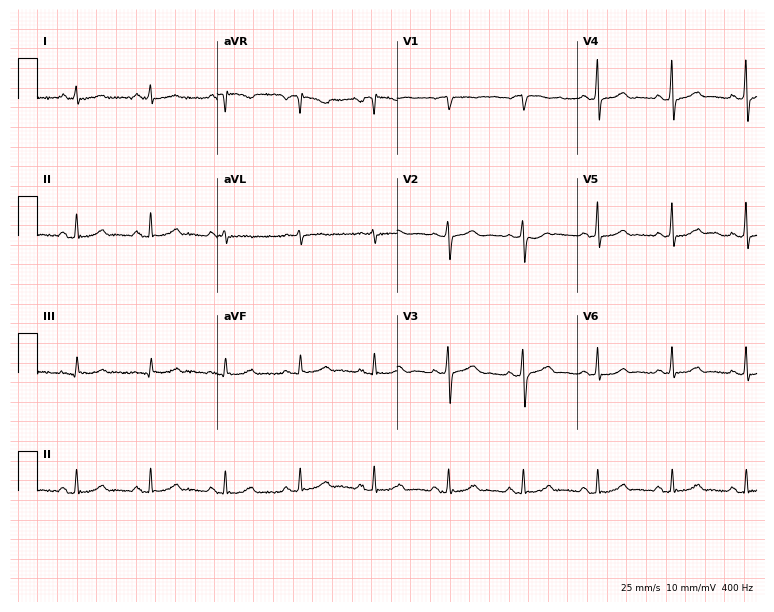
Resting 12-lead electrocardiogram. Patient: a 55-year-old male. Read as a normal ECG.